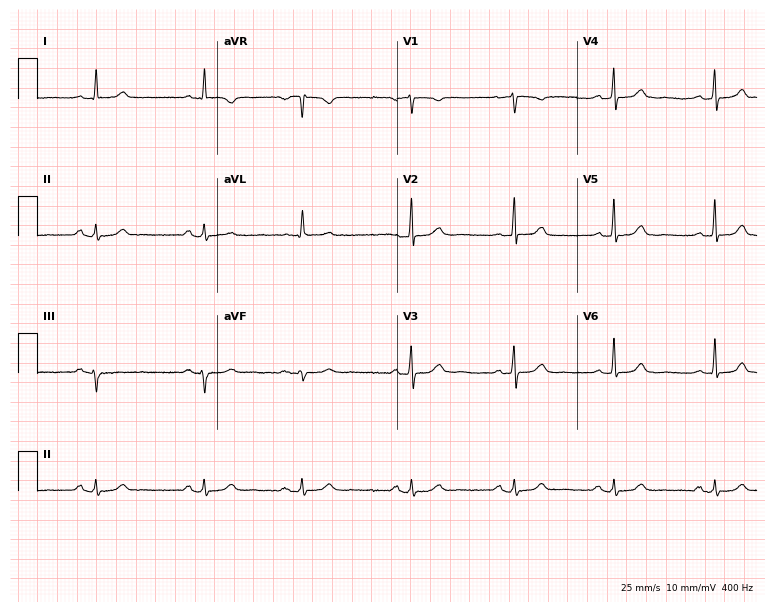
Electrocardiogram, a 79-year-old female patient. Overall reading on record: normal ECG.